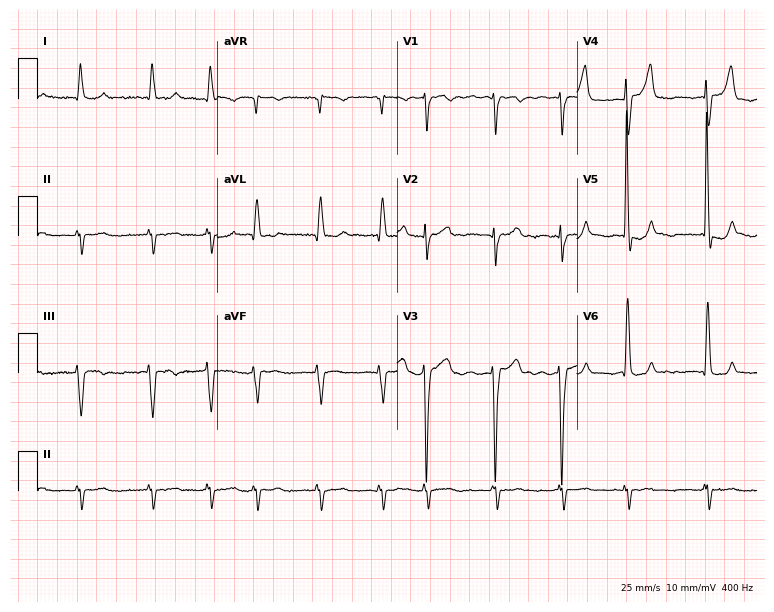
Electrocardiogram, a female, 84 years old. Interpretation includes atrial fibrillation (AF).